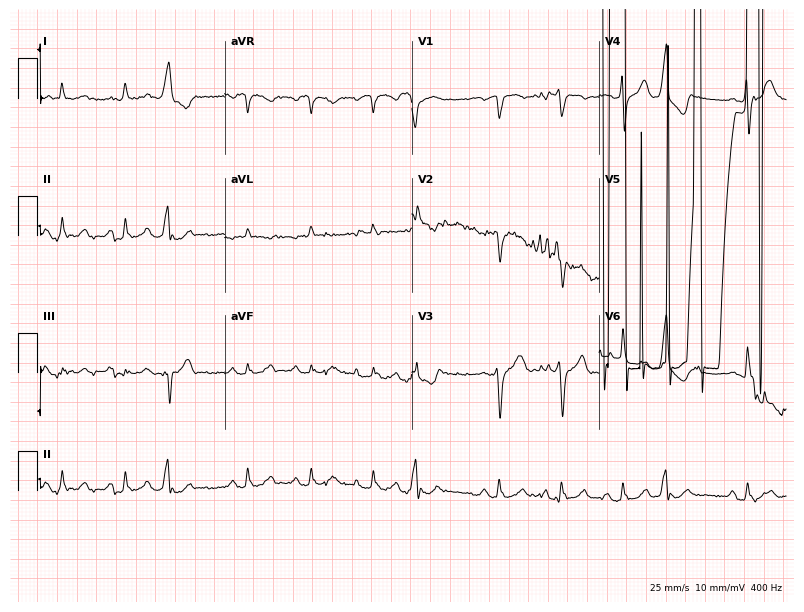
12-lead ECG (7.6-second recording at 400 Hz) from an 82-year-old man. Screened for six findings — first-degree AV block, right bundle branch block (RBBB), left bundle branch block (LBBB), sinus bradycardia, atrial fibrillation (AF), sinus tachycardia — none is recorded.